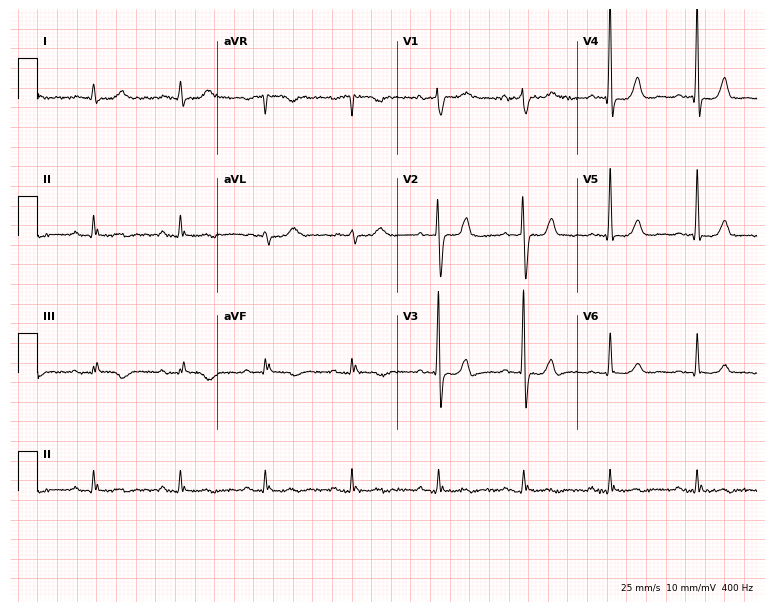
Electrocardiogram, an 82-year-old male patient. Of the six screened findings (first-degree AV block, right bundle branch block (RBBB), left bundle branch block (LBBB), sinus bradycardia, atrial fibrillation (AF), sinus tachycardia), none is recorded.